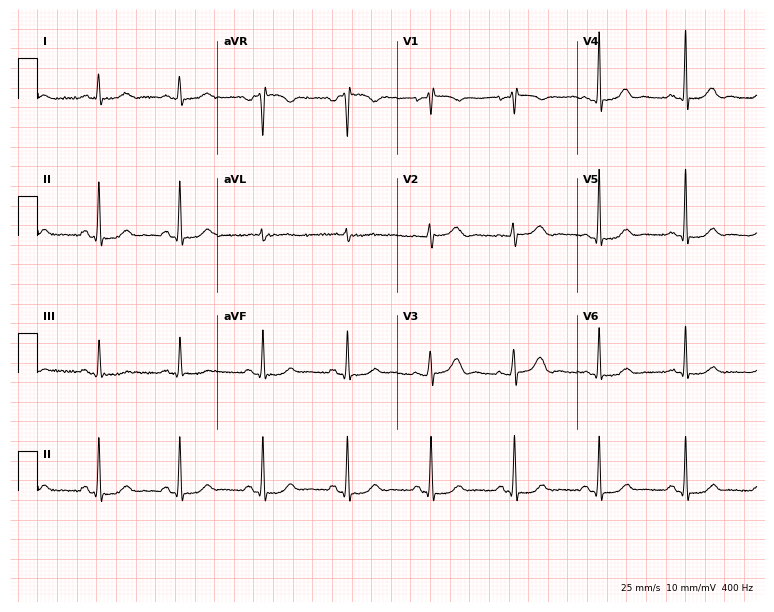
Resting 12-lead electrocardiogram. Patient: a 70-year-old female. Read as a normal ECG.